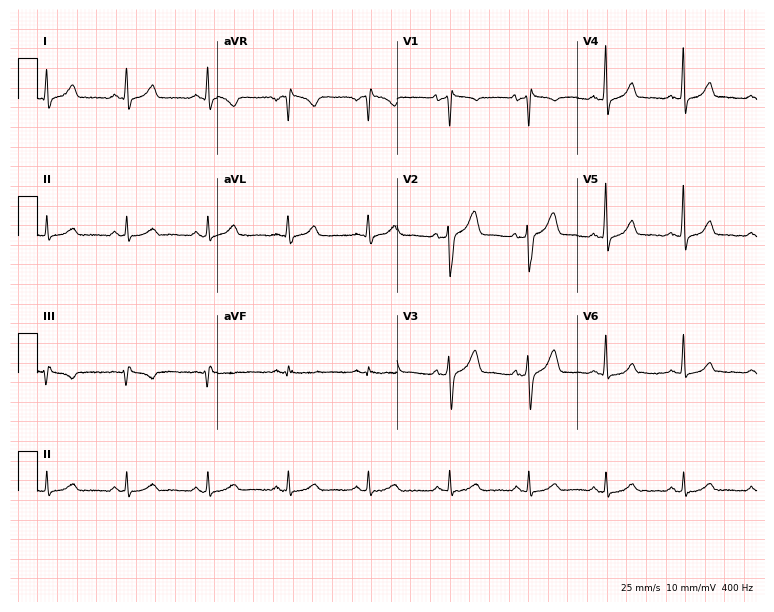
Electrocardiogram (7.3-second recording at 400 Hz), a male, 50 years old. Overall reading on record: normal ECG.